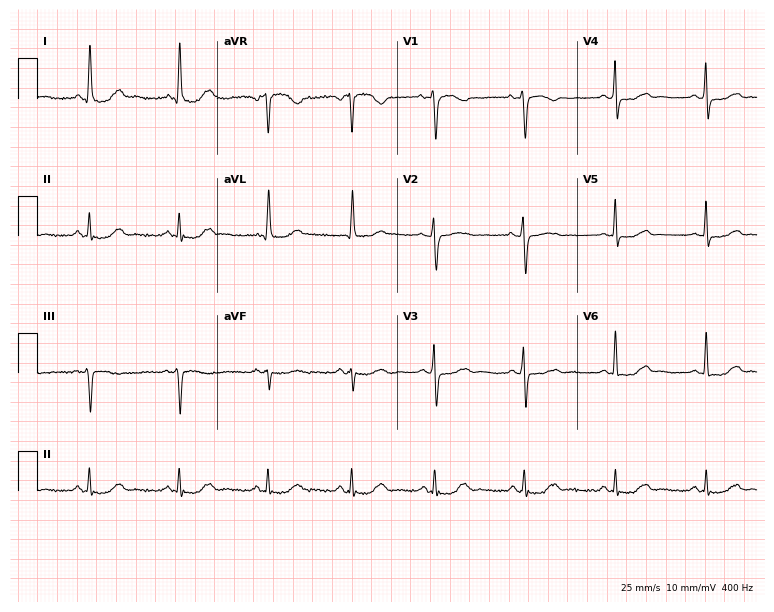
12-lead ECG from a 63-year-old woman. Labelled as a normal ECG.